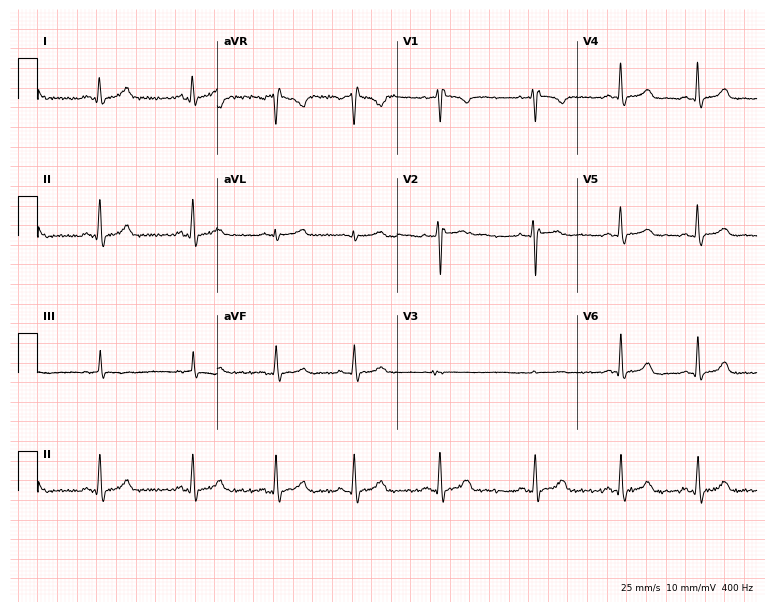
Resting 12-lead electrocardiogram. Patient: a 24-year-old female. None of these six findings is recorded: first-degree AV block, right bundle branch block (RBBB), left bundle branch block (LBBB), sinus bradycardia, atrial fibrillation (AF), sinus tachycardia. Other findings, if any, are not listed.